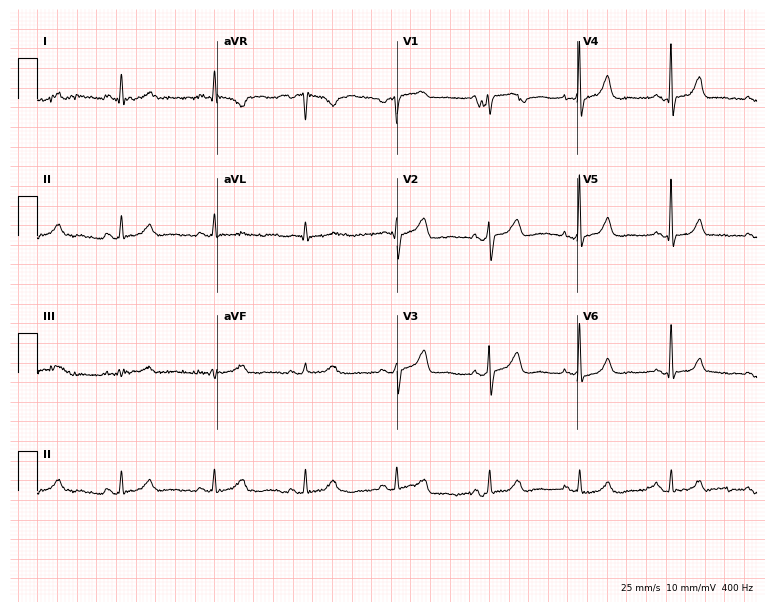
Standard 12-lead ECG recorded from a 72-year-old female patient. Read as a normal ECG.